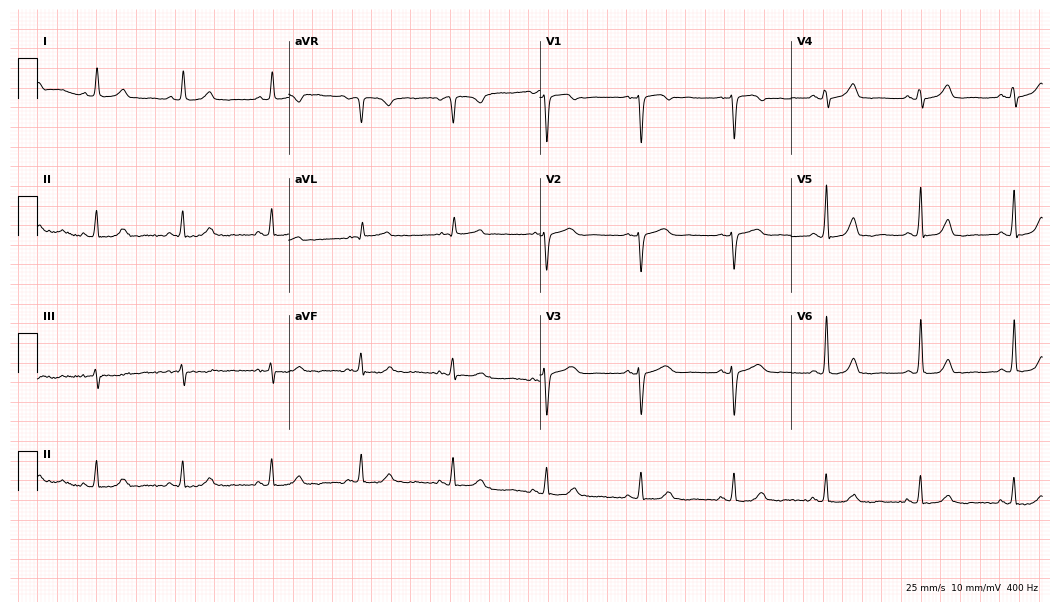
Resting 12-lead electrocardiogram (10.2-second recording at 400 Hz). Patient: a 66-year-old female. None of these six findings is recorded: first-degree AV block, right bundle branch block, left bundle branch block, sinus bradycardia, atrial fibrillation, sinus tachycardia.